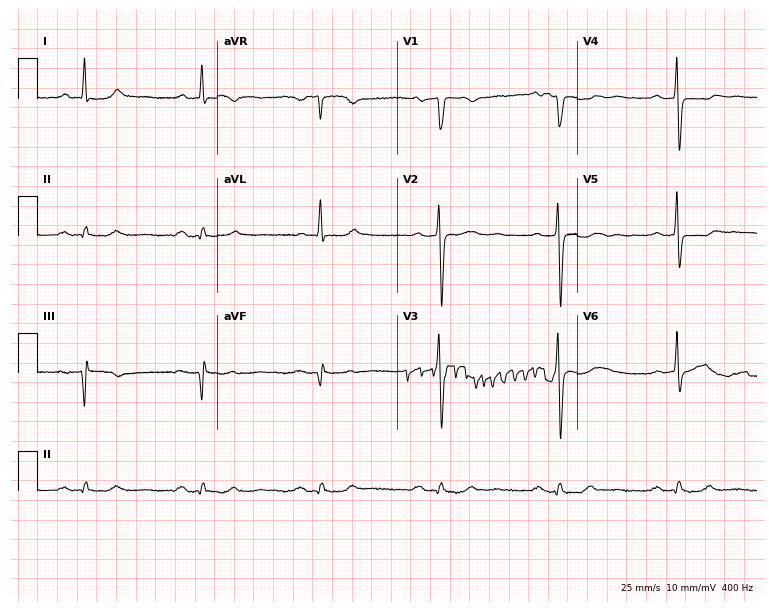
Standard 12-lead ECG recorded from a 69-year-old male patient. The tracing shows first-degree AV block, right bundle branch block (RBBB).